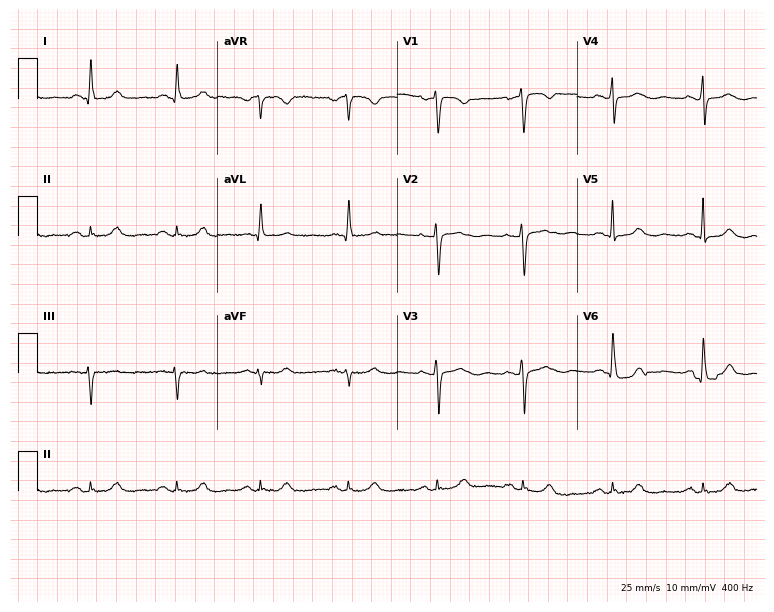
ECG — a woman, 55 years old. Screened for six findings — first-degree AV block, right bundle branch block, left bundle branch block, sinus bradycardia, atrial fibrillation, sinus tachycardia — none is recorded.